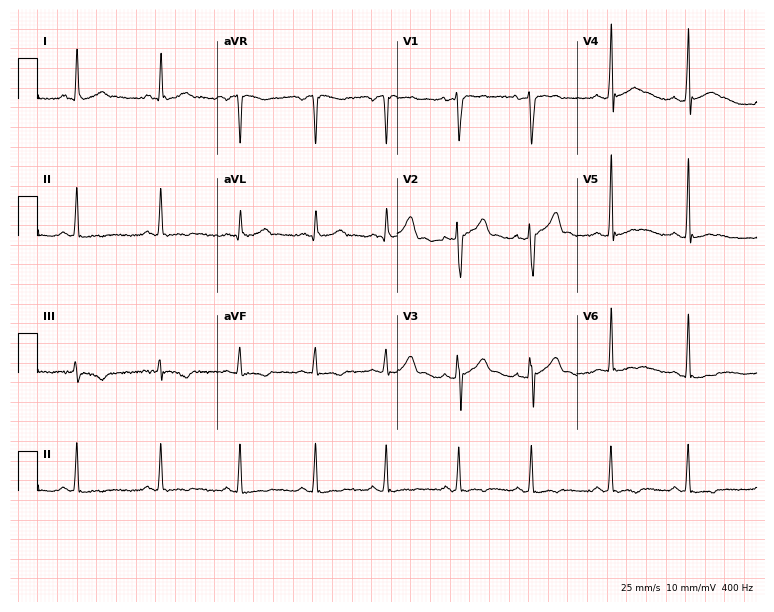
Resting 12-lead electrocardiogram. Patient: a male, 40 years old. None of these six findings is recorded: first-degree AV block, right bundle branch block, left bundle branch block, sinus bradycardia, atrial fibrillation, sinus tachycardia. Only these six findings were labelled.